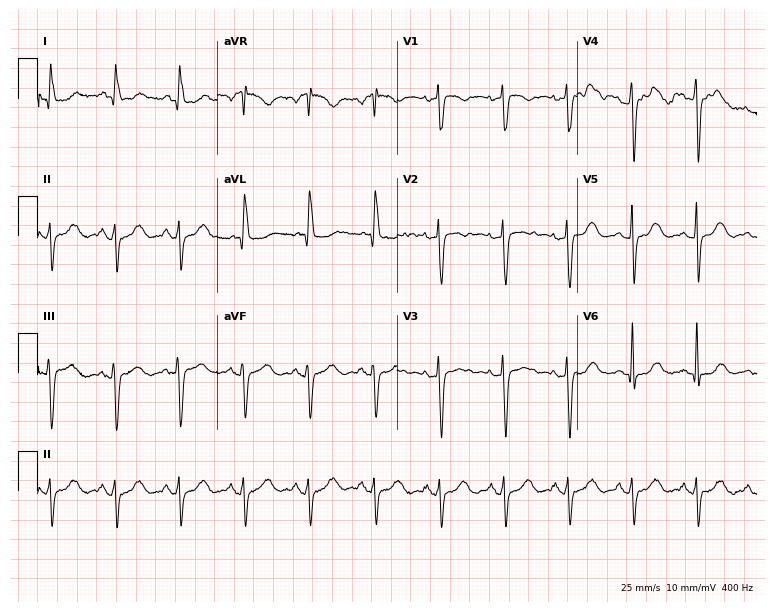
Electrocardiogram (7.3-second recording at 400 Hz), a female patient, 60 years old. Of the six screened findings (first-degree AV block, right bundle branch block, left bundle branch block, sinus bradycardia, atrial fibrillation, sinus tachycardia), none is recorded.